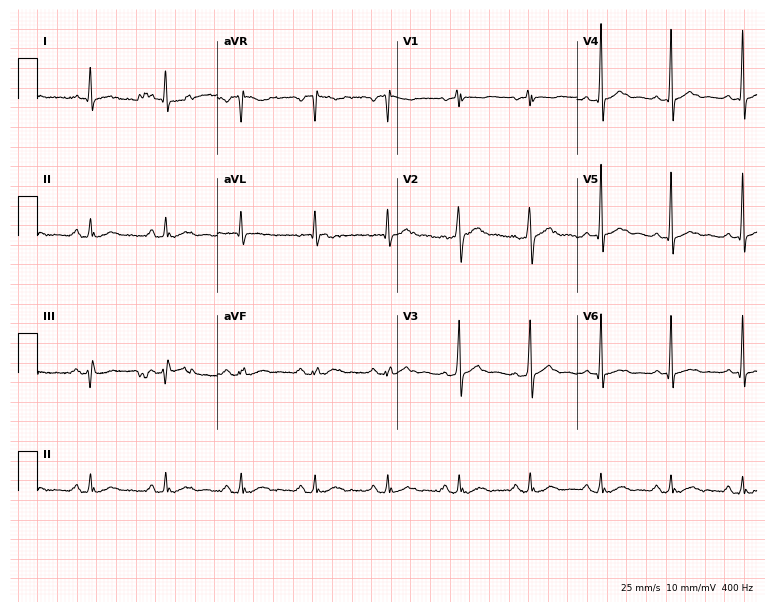
12-lead ECG from a 70-year-old man. Screened for six findings — first-degree AV block, right bundle branch block (RBBB), left bundle branch block (LBBB), sinus bradycardia, atrial fibrillation (AF), sinus tachycardia — none is recorded.